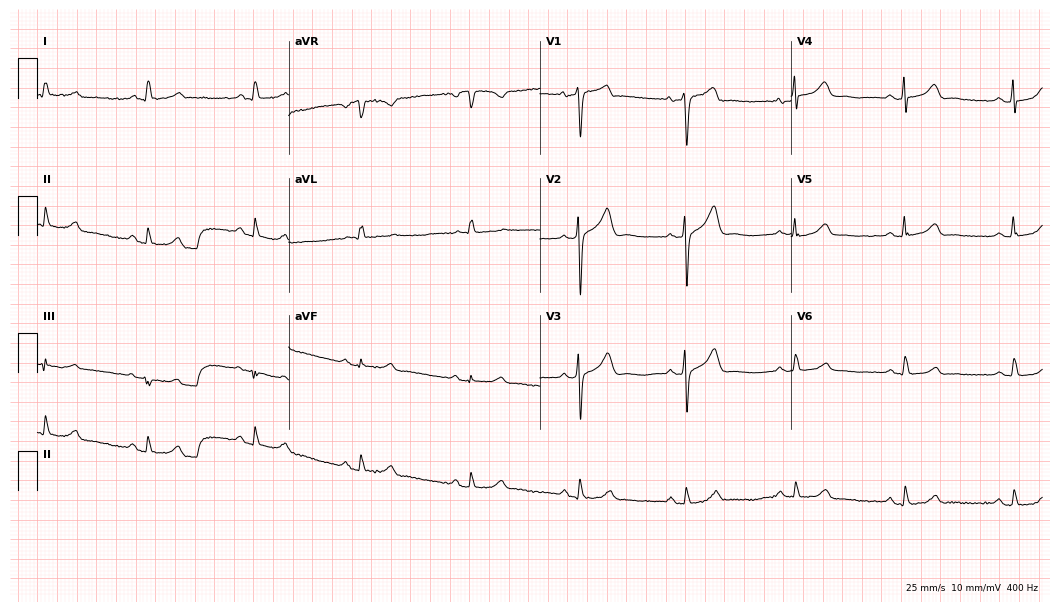
Resting 12-lead electrocardiogram (10.2-second recording at 400 Hz). Patient: a 48-year-old man. Read as a normal ECG.